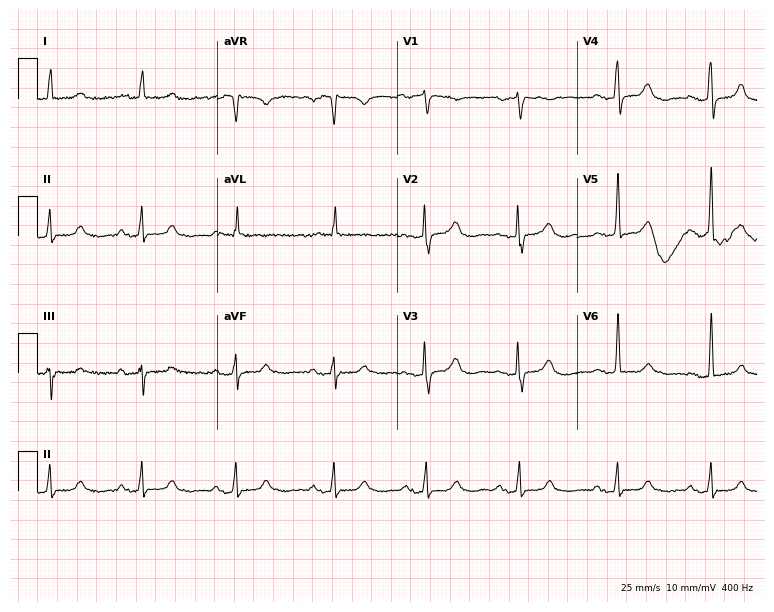
ECG — an 85-year-old woman. Findings include first-degree AV block.